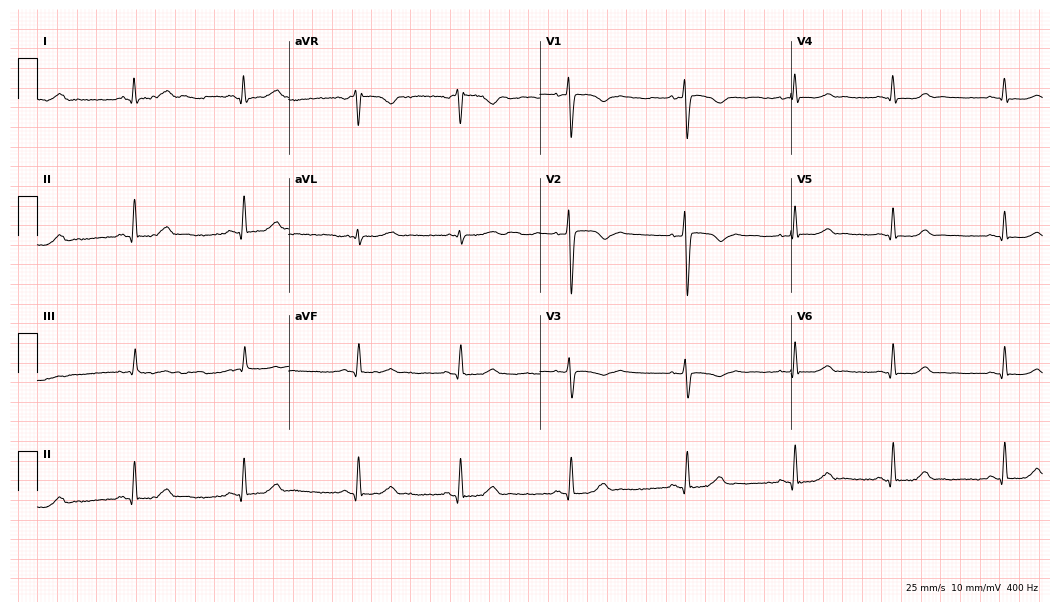
Standard 12-lead ECG recorded from a female, 33 years old (10.2-second recording at 400 Hz). Read as a normal ECG.